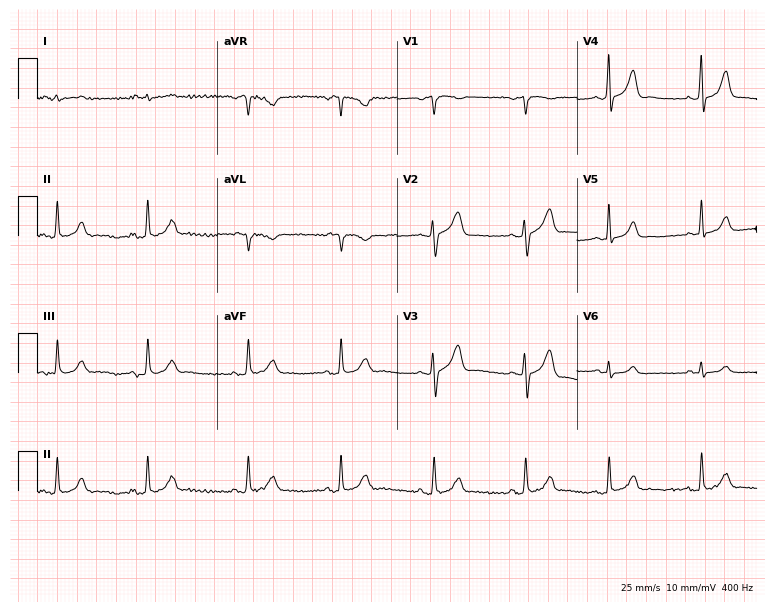
Standard 12-lead ECG recorded from a 74-year-old man. None of these six findings is recorded: first-degree AV block, right bundle branch block, left bundle branch block, sinus bradycardia, atrial fibrillation, sinus tachycardia. Only these six findings were labelled.